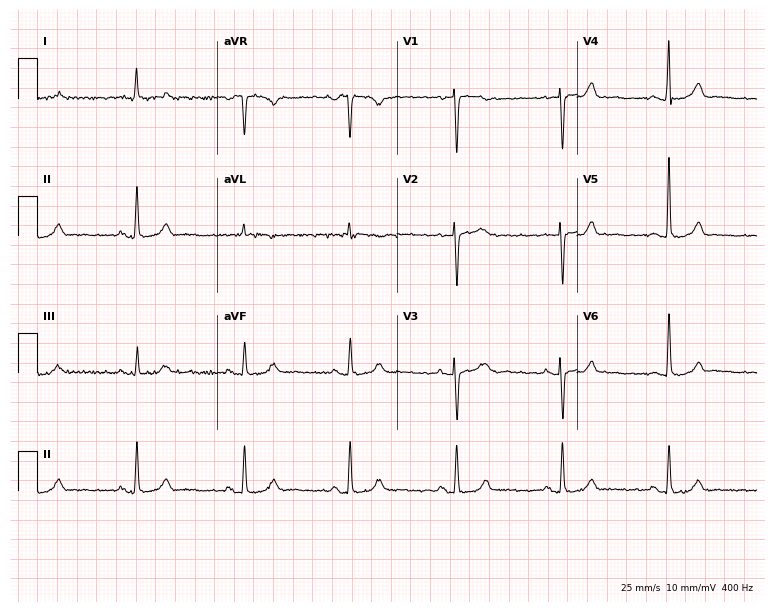
ECG (7.3-second recording at 400 Hz) — a 71-year-old female patient. Screened for six findings — first-degree AV block, right bundle branch block, left bundle branch block, sinus bradycardia, atrial fibrillation, sinus tachycardia — none is recorded. Only these six findings were labelled.